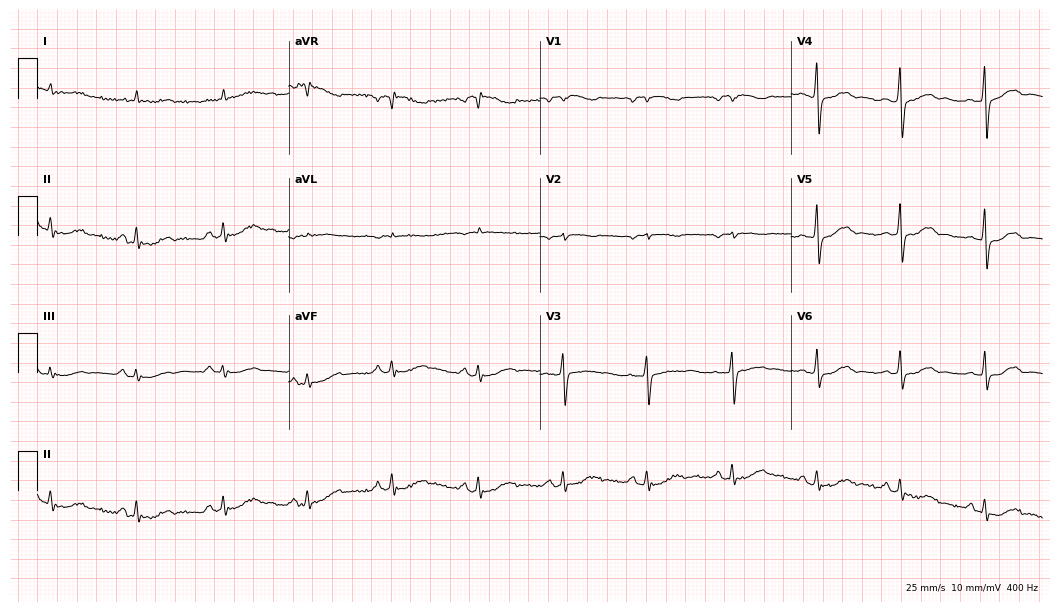
12-lead ECG from a female patient, 55 years old (10.2-second recording at 400 Hz). Recorded interpretation: within normal limits.